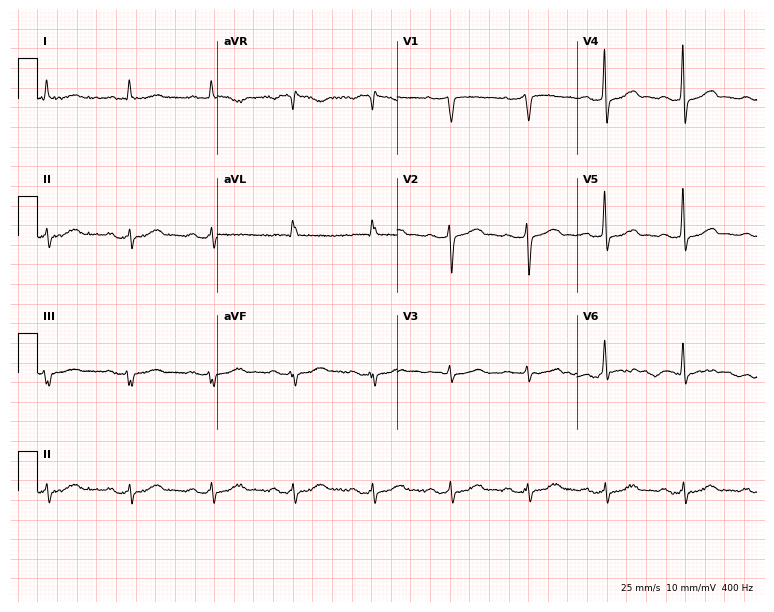
ECG — a 79-year-old woman. Findings include first-degree AV block.